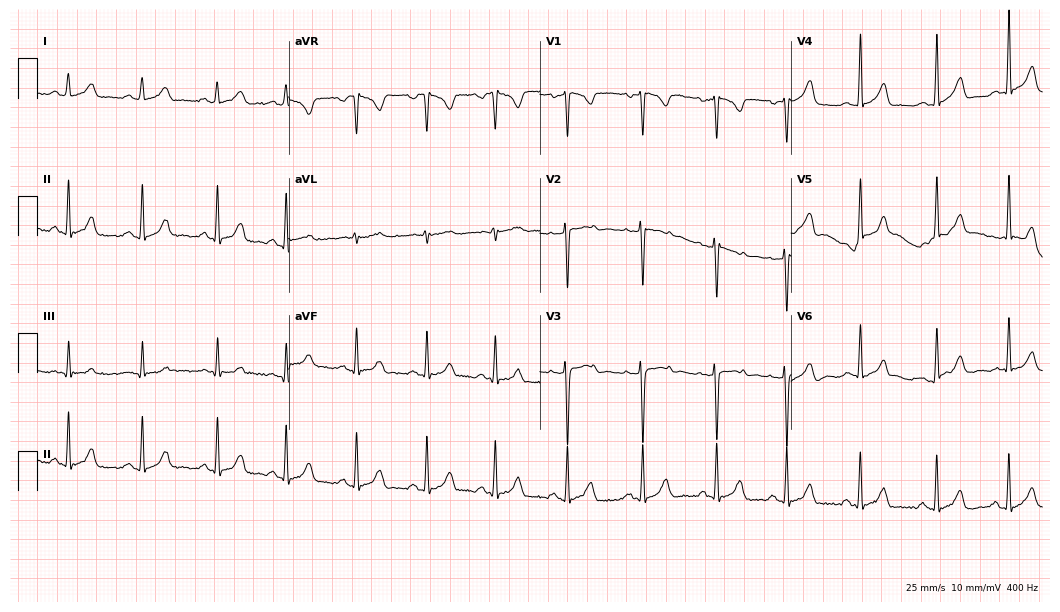
12-lead ECG from a female patient, 30 years old. Labelled as a normal ECG.